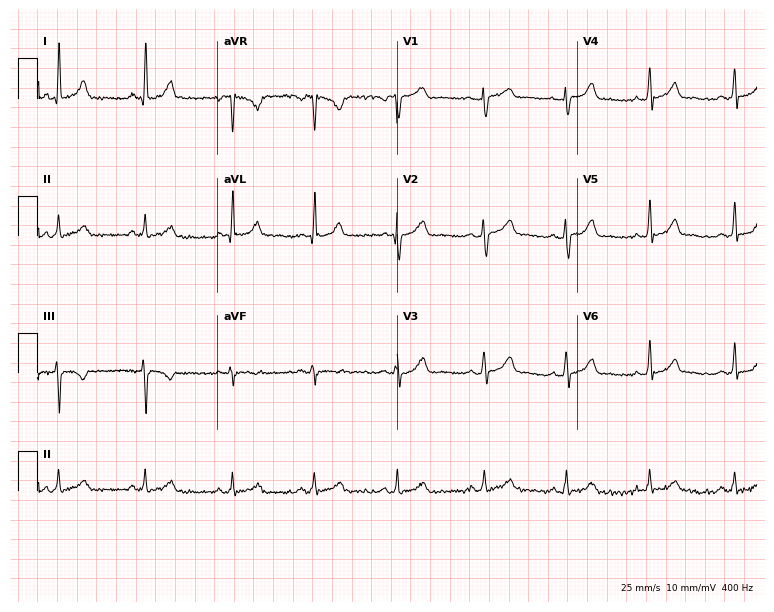
Electrocardiogram (7.3-second recording at 400 Hz), a 24-year-old female patient. Overall reading on record: normal ECG.